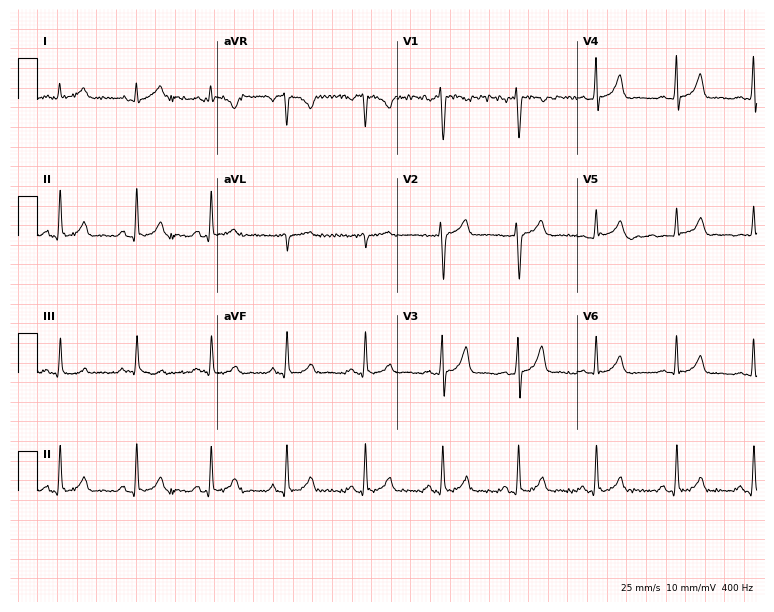
Resting 12-lead electrocardiogram. Patient: a 34-year-old man. None of these six findings is recorded: first-degree AV block, right bundle branch block, left bundle branch block, sinus bradycardia, atrial fibrillation, sinus tachycardia. Other findings, if any, are not listed.